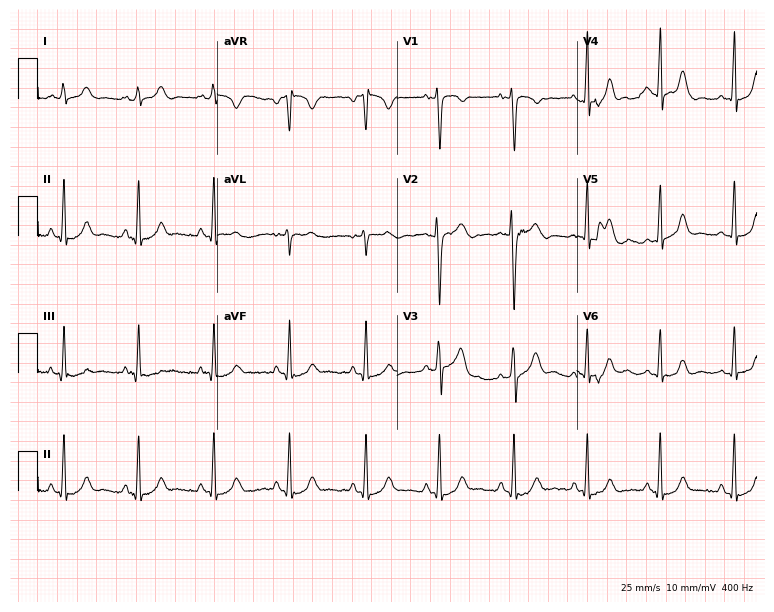
Standard 12-lead ECG recorded from a female patient, 19 years old (7.3-second recording at 400 Hz). Read as a normal ECG.